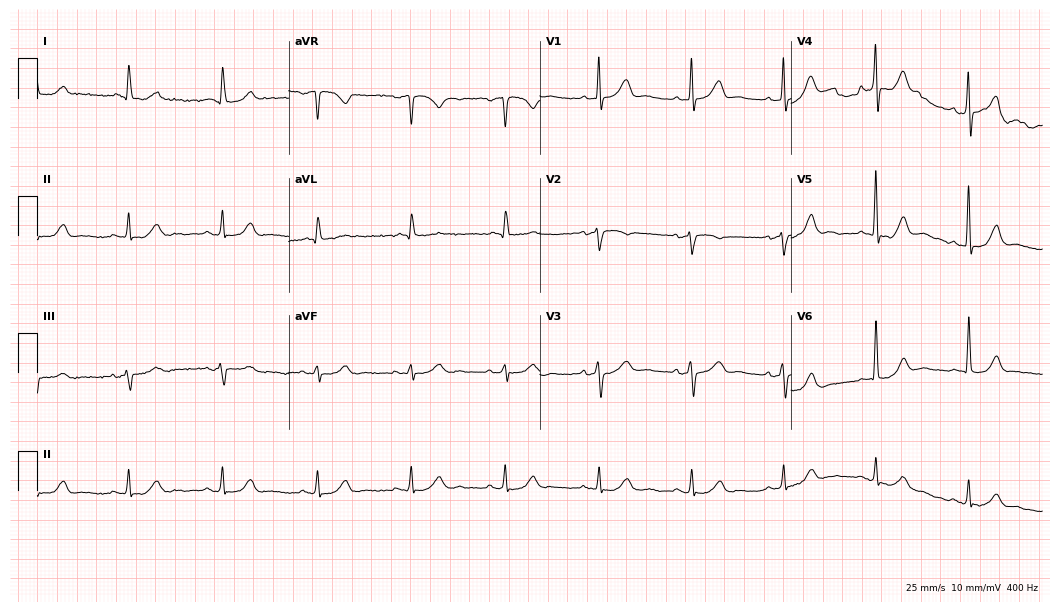
Standard 12-lead ECG recorded from an 81-year-old male (10.2-second recording at 400 Hz). Read as a normal ECG.